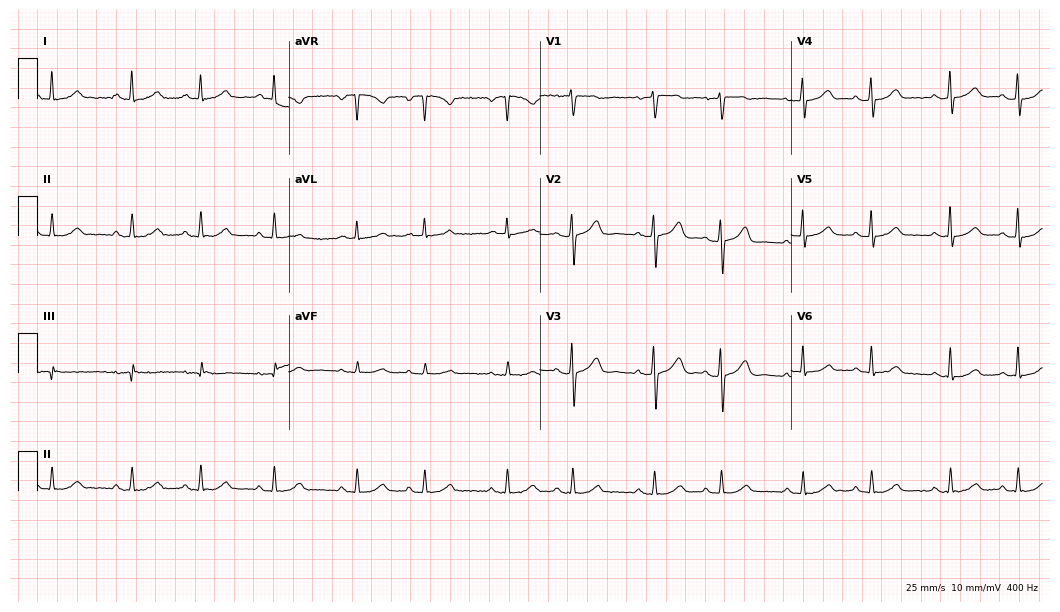
Standard 12-lead ECG recorded from a female, 61 years old. Read as a normal ECG.